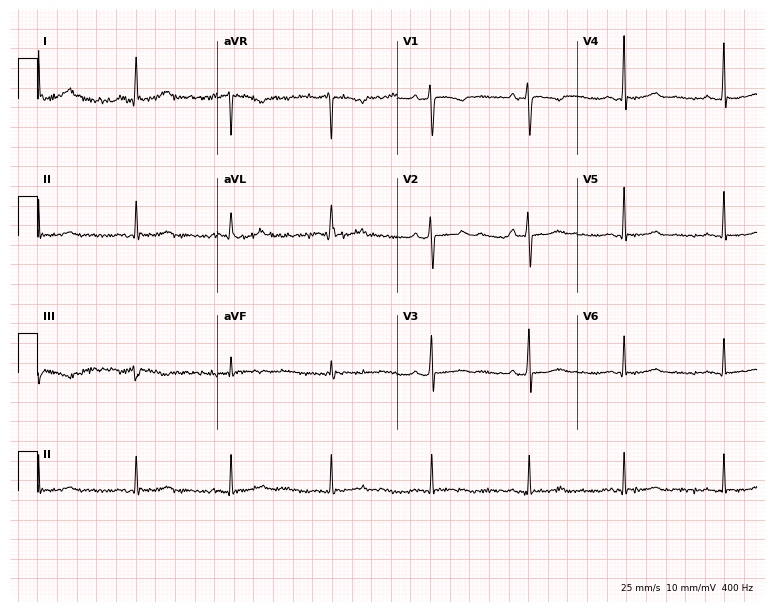
12-lead ECG from a 46-year-old woman. No first-degree AV block, right bundle branch block, left bundle branch block, sinus bradycardia, atrial fibrillation or sinus tachycardia recorded for this tracing.